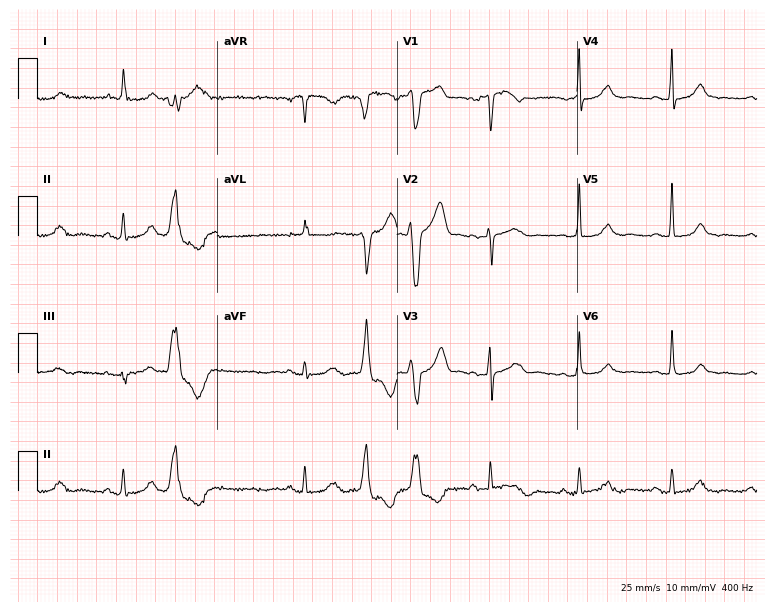
12-lead ECG (7.3-second recording at 400 Hz) from a 61-year-old woman. Screened for six findings — first-degree AV block, right bundle branch block, left bundle branch block, sinus bradycardia, atrial fibrillation, sinus tachycardia — none is recorded. Findings outside these six are not listed.